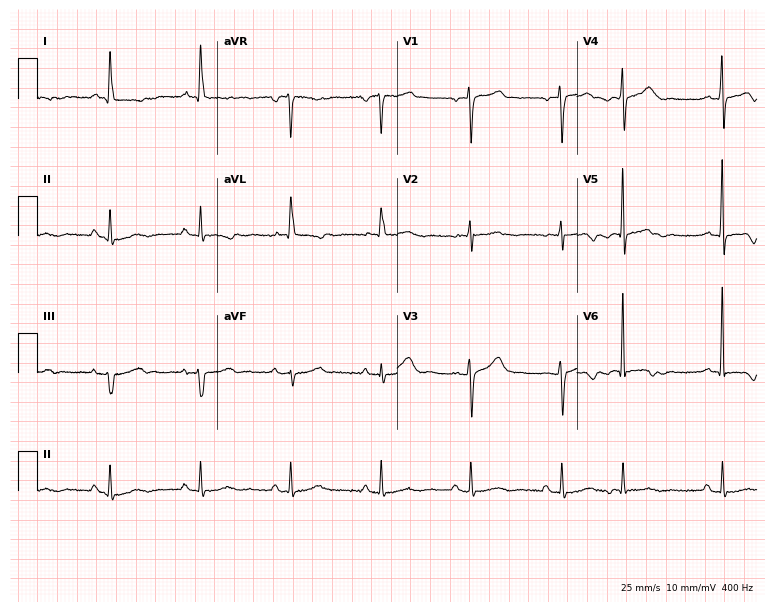
12-lead ECG from a male, 70 years old. No first-degree AV block, right bundle branch block, left bundle branch block, sinus bradycardia, atrial fibrillation or sinus tachycardia recorded for this tracing.